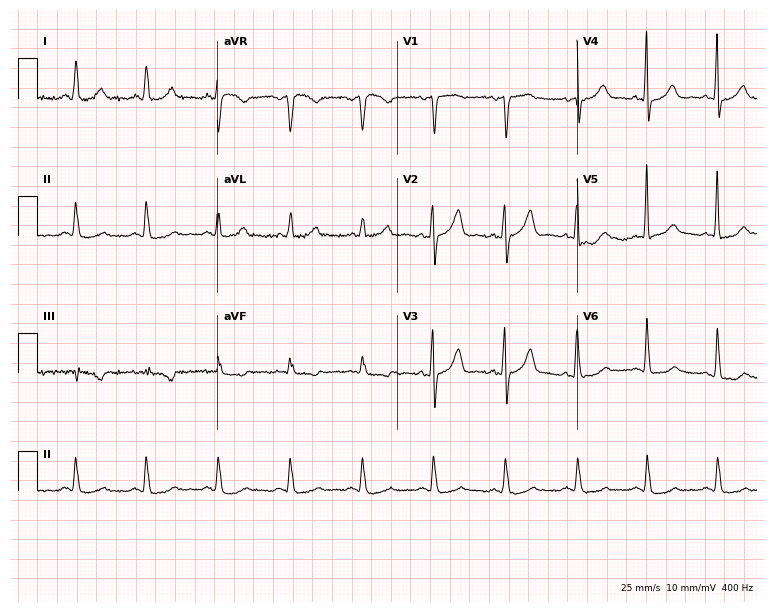
Electrocardiogram, a 60-year-old female patient. Of the six screened findings (first-degree AV block, right bundle branch block (RBBB), left bundle branch block (LBBB), sinus bradycardia, atrial fibrillation (AF), sinus tachycardia), none is recorded. Other findings, if any, are not listed.